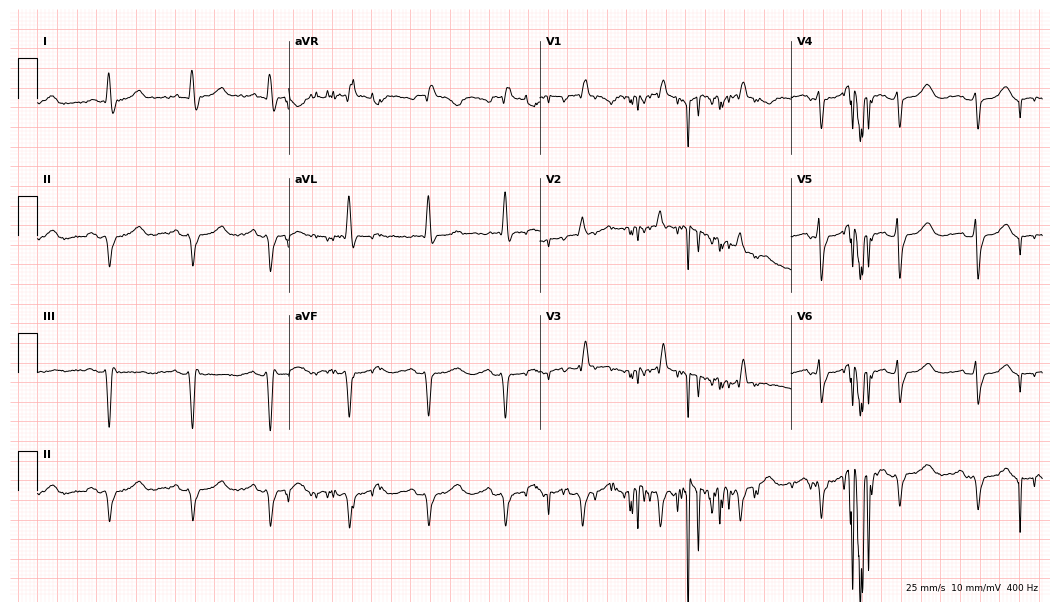
Electrocardiogram (10.2-second recording at 400 Hz), a 62-year-old woman. Of the six screened findings (first-degree AV block, right bundle branch block (RBBB), left bundle branch block (LBBB), sinus bradycardia, atrial fibrillation (AF), sinus tachycardia), none is recorded. Only these six findings were labelled.